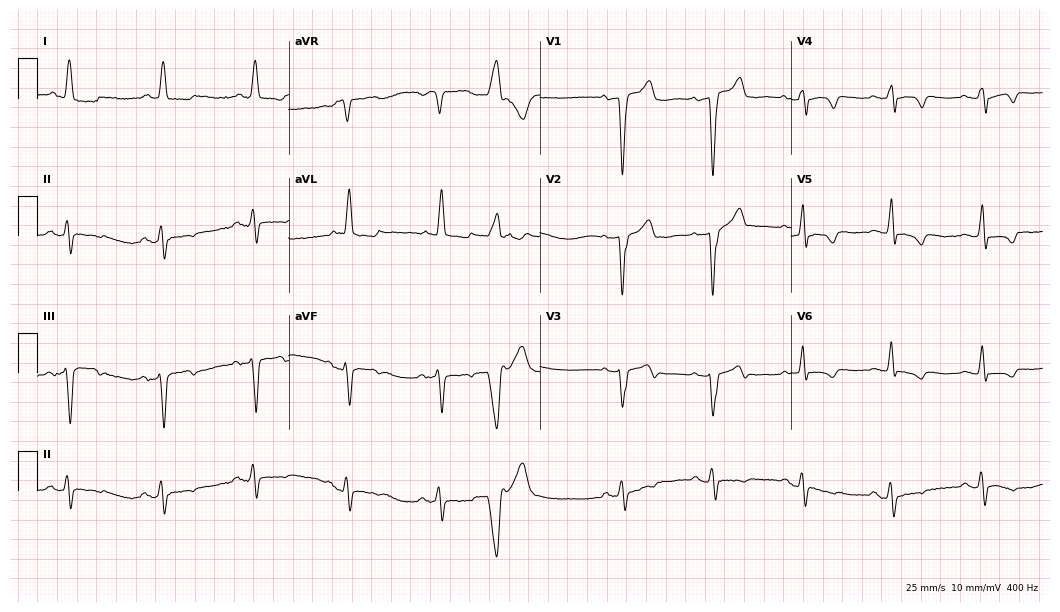
ECG — an 82-year-old female patient. Screened for six findings — first-degree AV block, right bundle branch block (RBBB), left bundle branch block (LBBB), sinus bradycardia, atrial fibrillation (AF), sinus tachycardia — none is recorded.